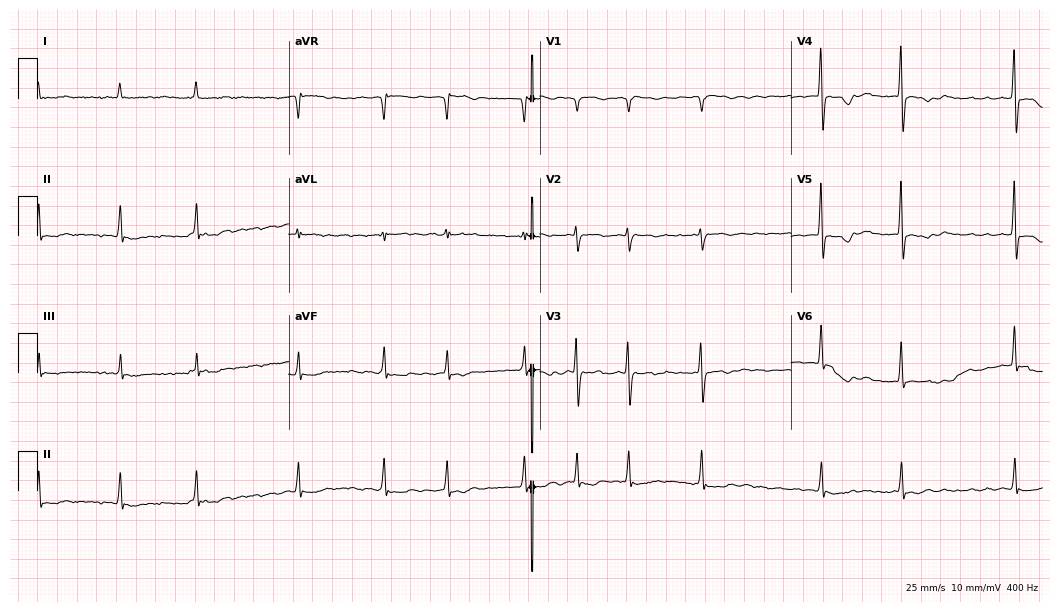
12-lead ECG (10.2-second recording at 400 Hz) from an 85-year-old female. Findings include atrial fibrillation.